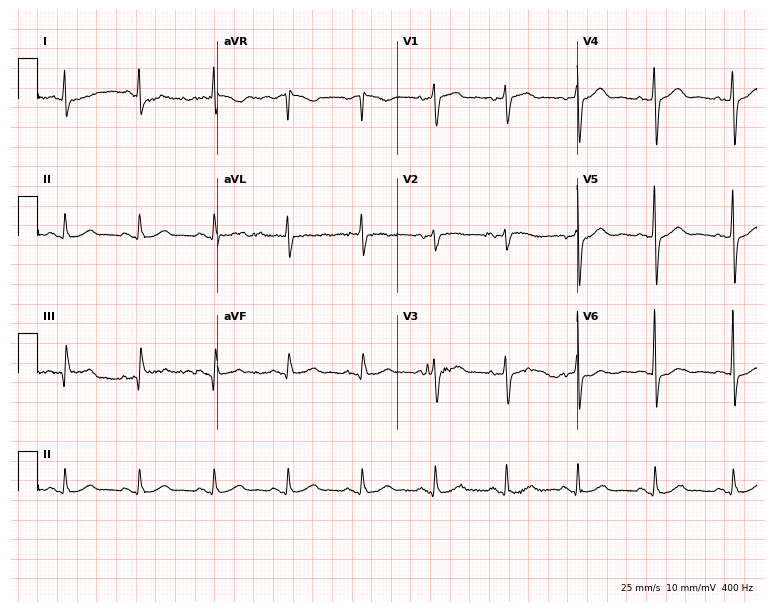
Electrocardiogram, a 70-year-old man. Overall reading on record: normal ECG.